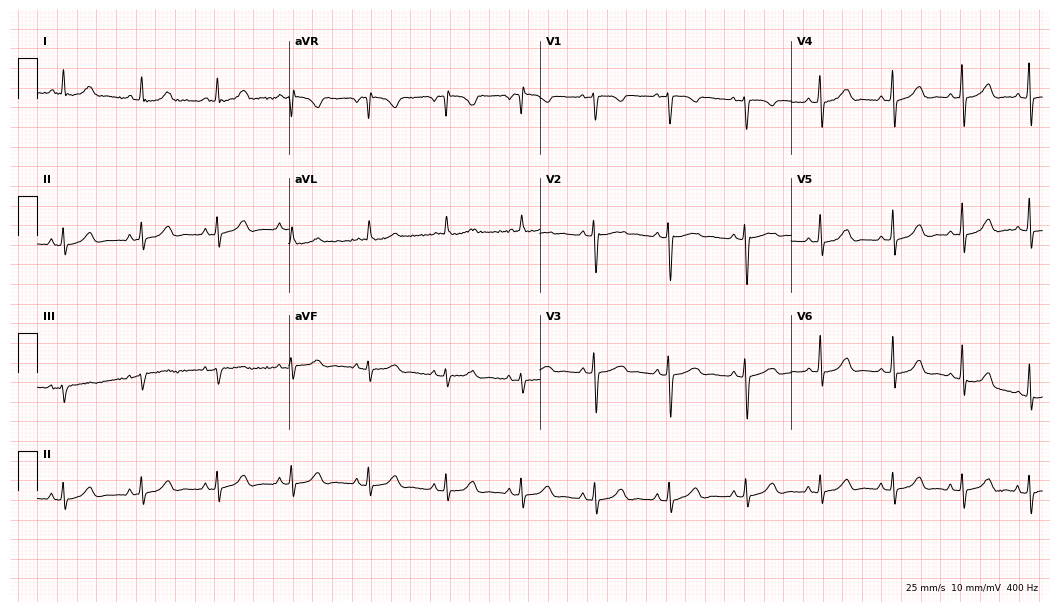
Electrocardiogram (10.2-second recording at 400 Hz), a female patient, 48 years old. Overall reading on record: normal ECG.